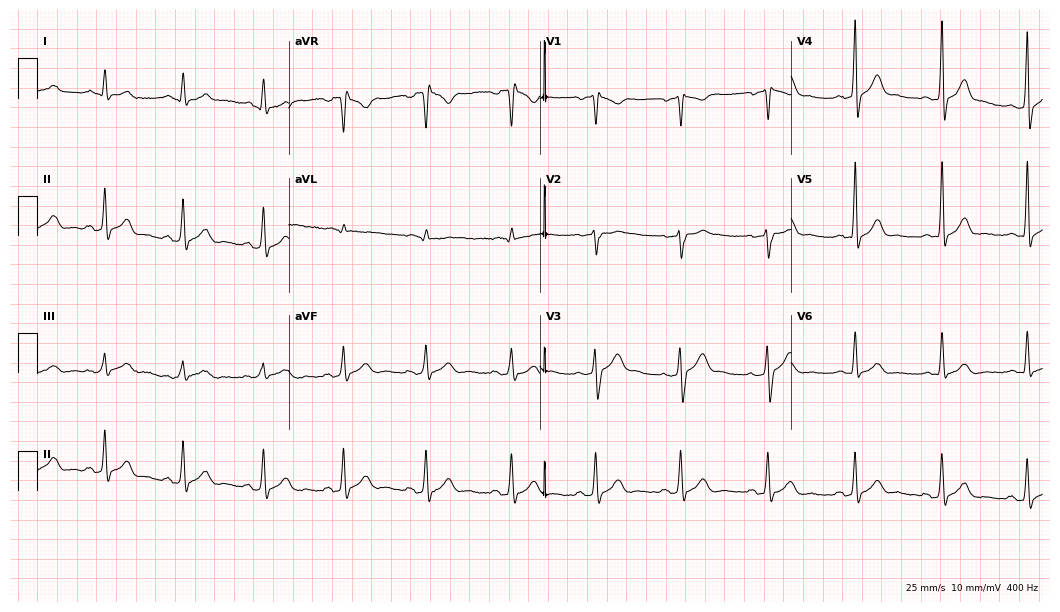
Electrocardiogram (10.2-second recording at 400 Hz), a 42-year-old man. Of the six screened findings (first-degree AV block, right bundle branch block, left bundle branch block, sinus bradycardia, atrial fibrillation, sinus tachycardia), none is recorded.